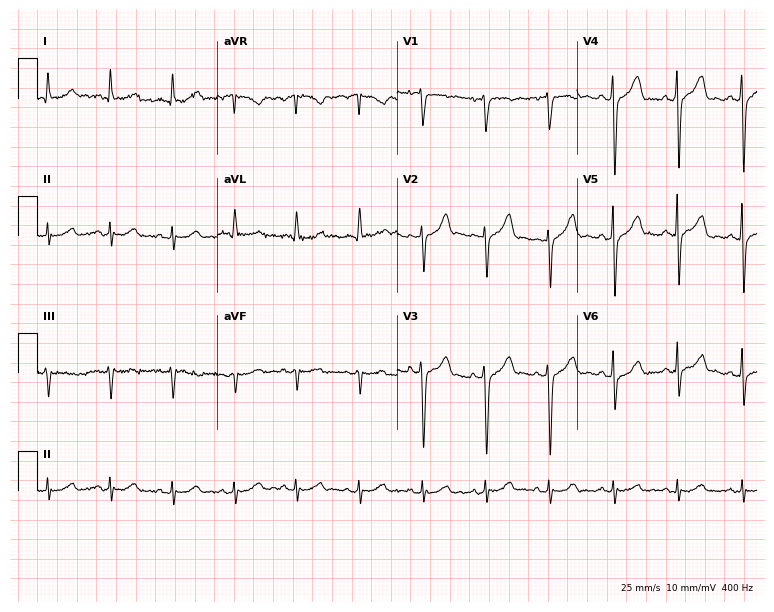
Standard 12-lead ECG recorded from a woman, 77 years old. None of these six findings is recorded: first-degree AV block, right bundle branch block (RBBB), left bundle branch block (LBBB), sinus bradycardia, atrial fibrillation (AF), sinus tachycardia.